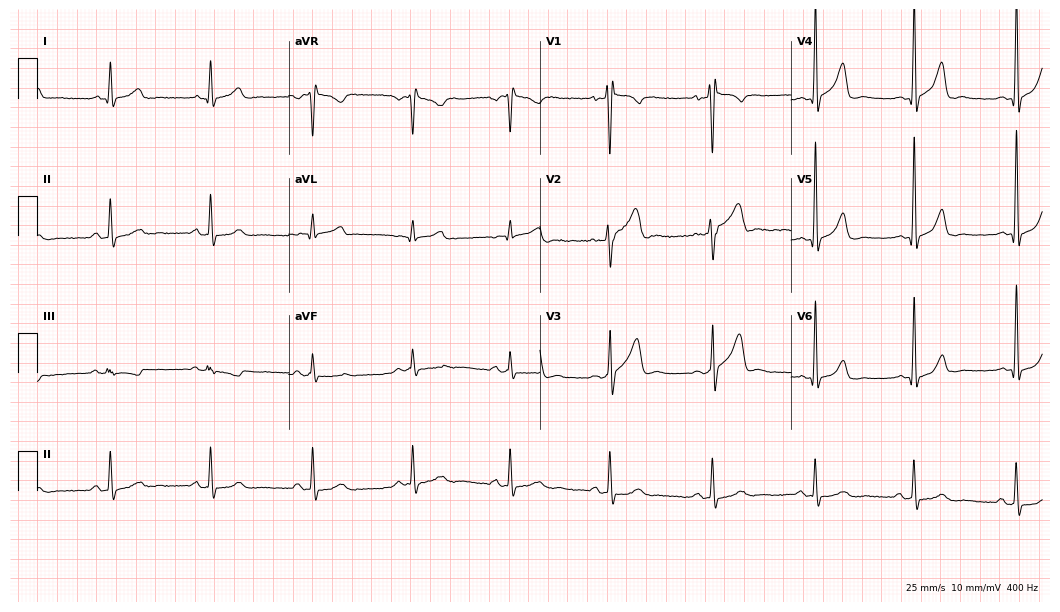
12-lead ECG from a 34-year-old male patient. No first-degree AV block, right bundle branch block, left bundle branch block, sinus bradycardia, atrial fibrillation or sinus tachycardia recorded for this tracing. Other findings, if any, are not listed.